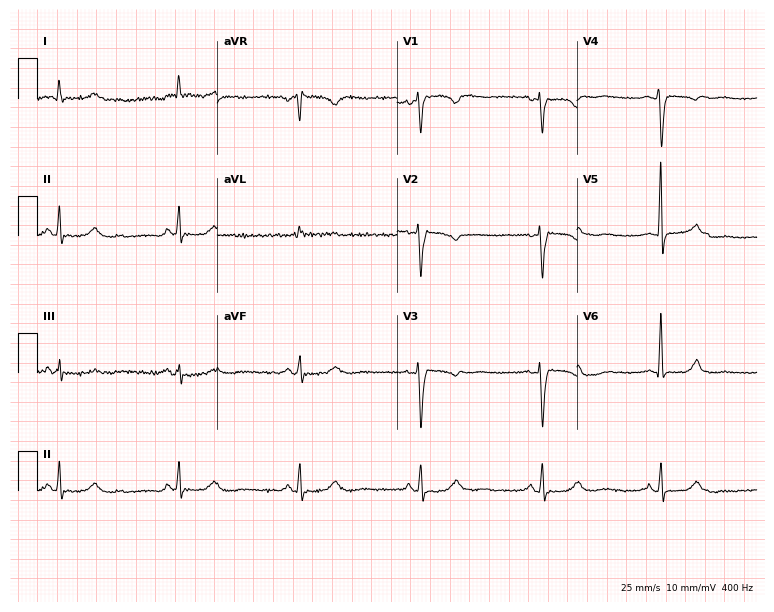
12-lead ECG from a woman, 47 years old. Findings include sinus bradycardia (a sinus rate of 50 beats per minute or less).